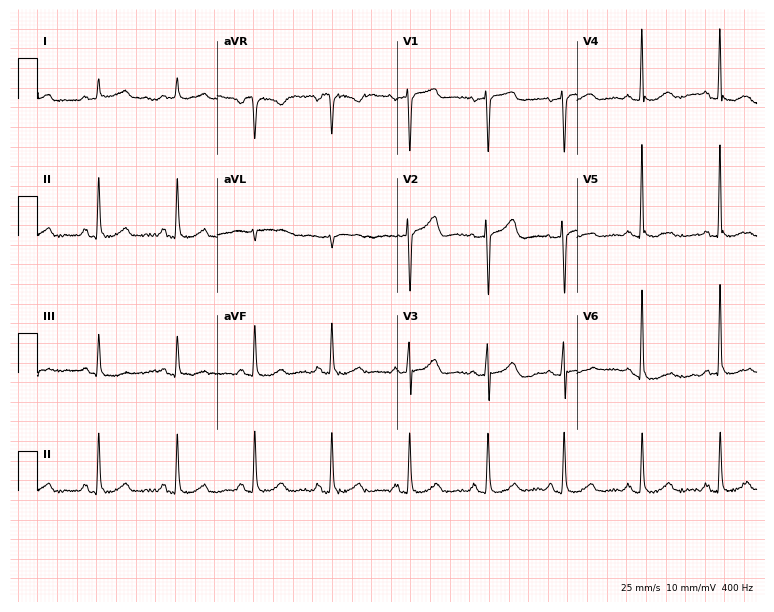
Electrocardiogram, a woman, 73 years old. Of the six screened findings (first-degree AV block, right bundle branch block (RBBB), left bundle branch block (LBBB), sinus bradycardia, atrial fibrillation (AF), sinus tachycardia), none is recorded. Other findings, if any, are not listed.